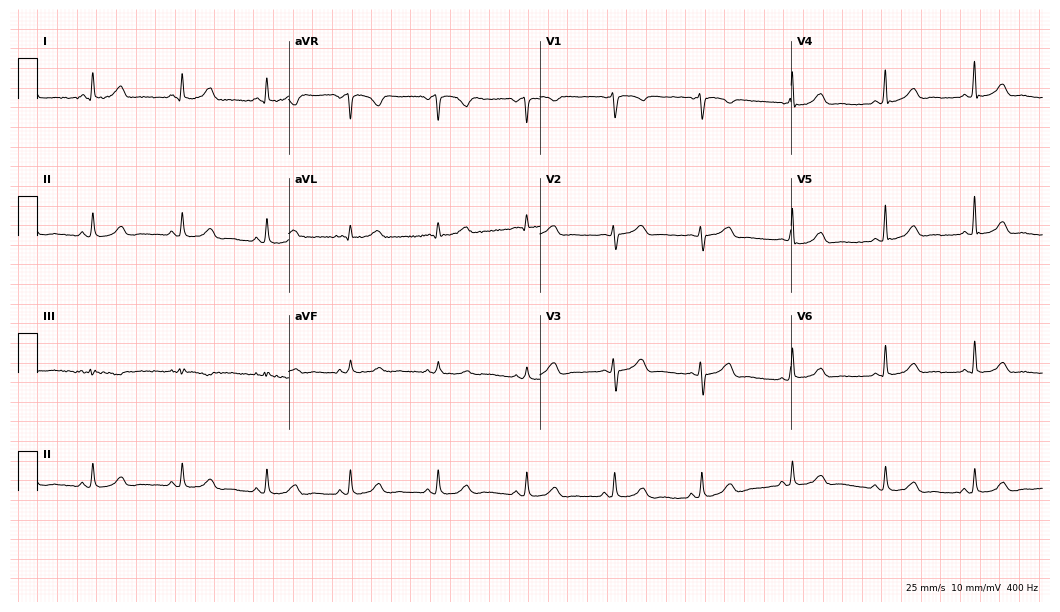
ECG — a 41-year-old female. Labelled as a normal ECG.